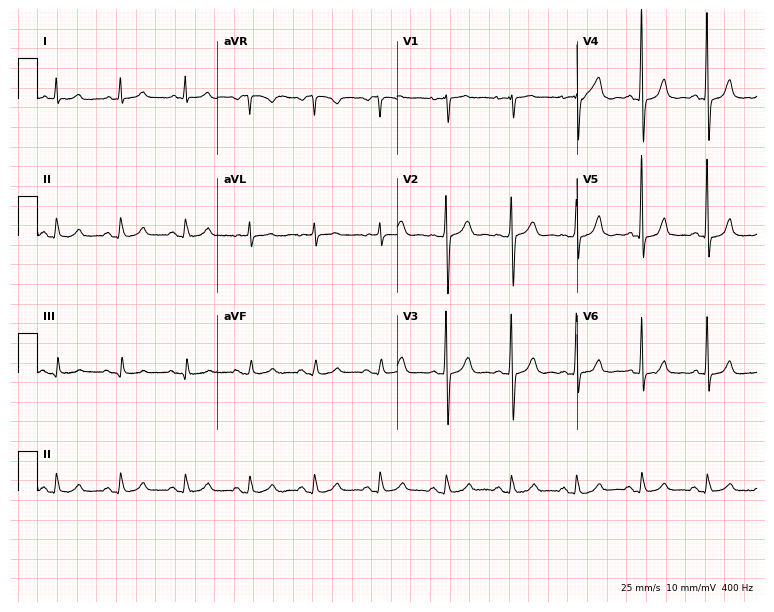
Standard 12-lead ECG recorded from a female patient, 85 years old. None of these six findings is recorded: first-degree AV block, right bundle branch block, left bundle branch block, sinus bradycardia, atrial fibrillation, sinus tachycardia. Findings outside these six are not listed.